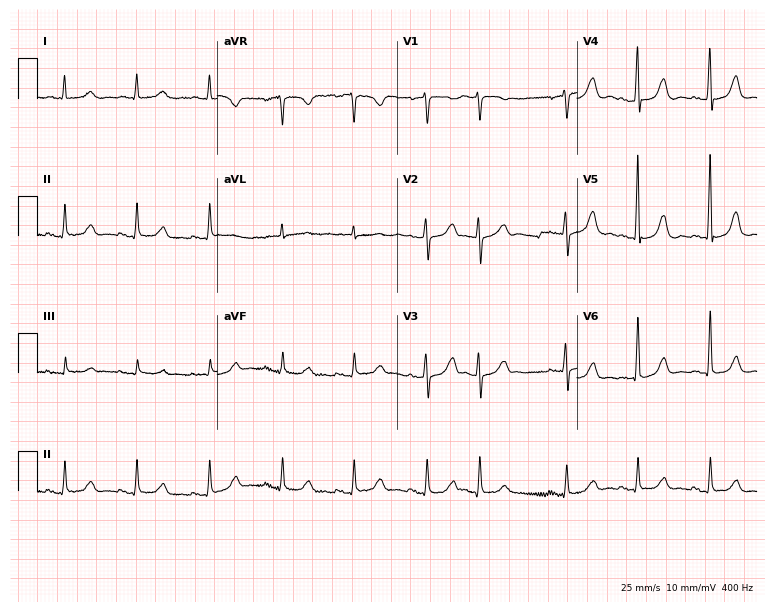
Standard 12-lead ECG recorded from a 75-year-old woman. Read as a normal ECG.